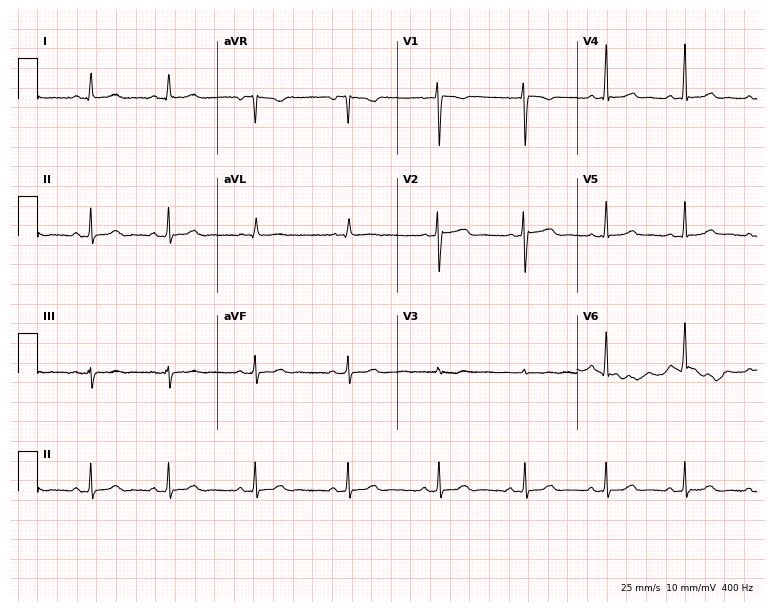
12-lead ECG (7.3-second recording at 400 Hz) from a female patient, 38 years old. Labelled as a normal ECG.